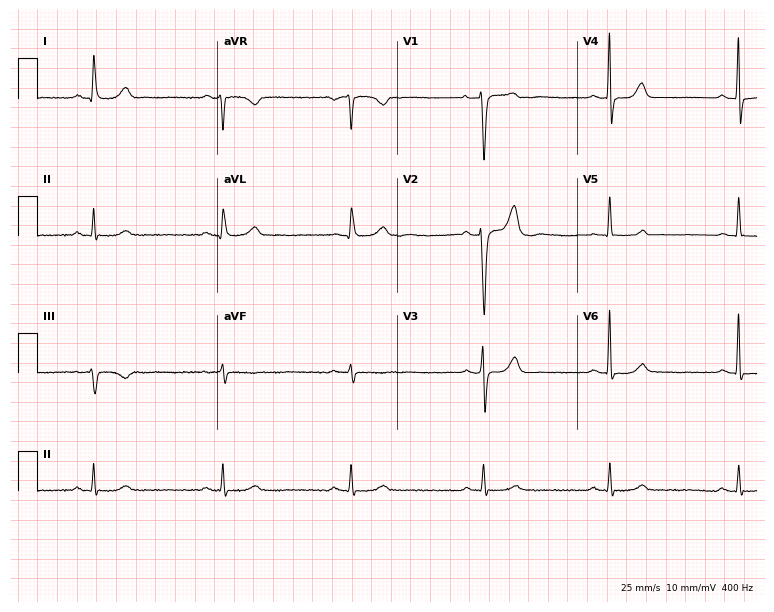
12-lead ECG from a 59-year-old male. Shows sinus bradycardia (a sinus rate of 50 beats per minute or less).